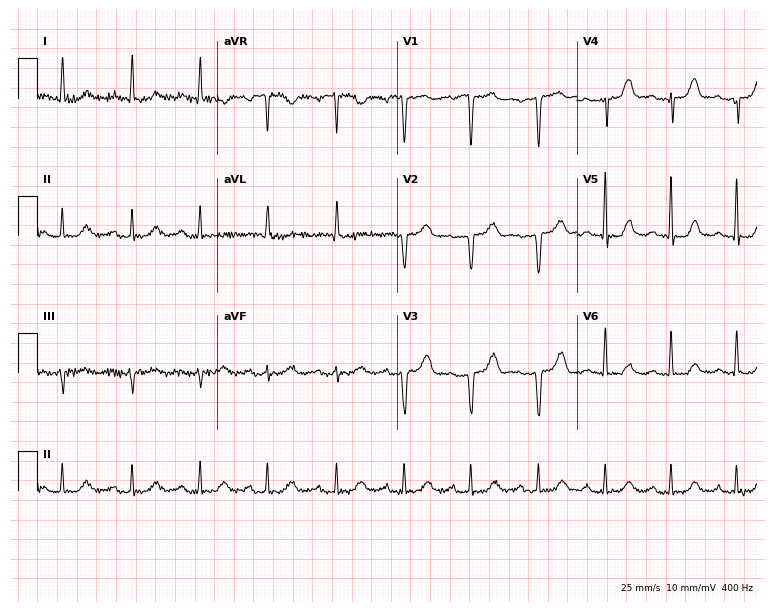
ECG (7.3-second recording at 400 Hz) — a female patient, 69 years old. Screened for six findings — first-degree AV block, right bundle branch block, left bundle branch block, sinus bradycardia, atrial fibrillation, sinus tachycardia — none is recorded.